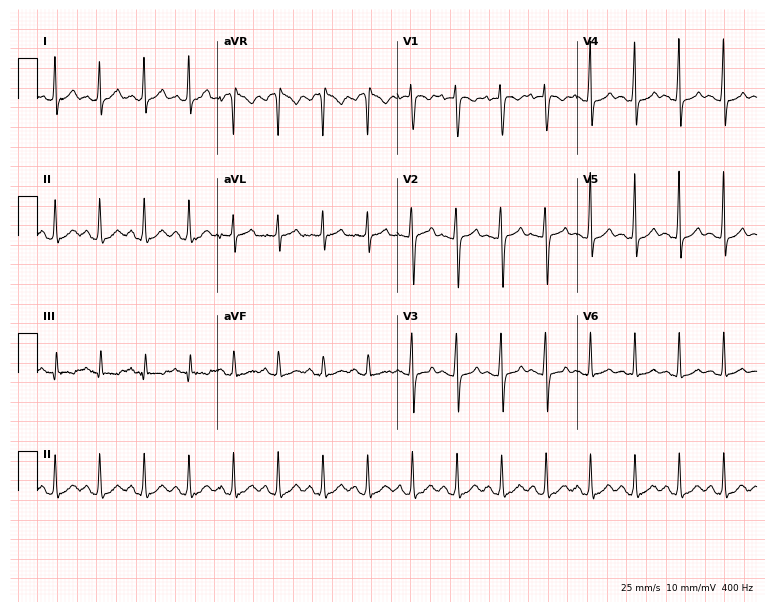
ECG — a 24-year-old female. Findings include sinus tachycardia (a sinus rate of 100 beats per minute or more).